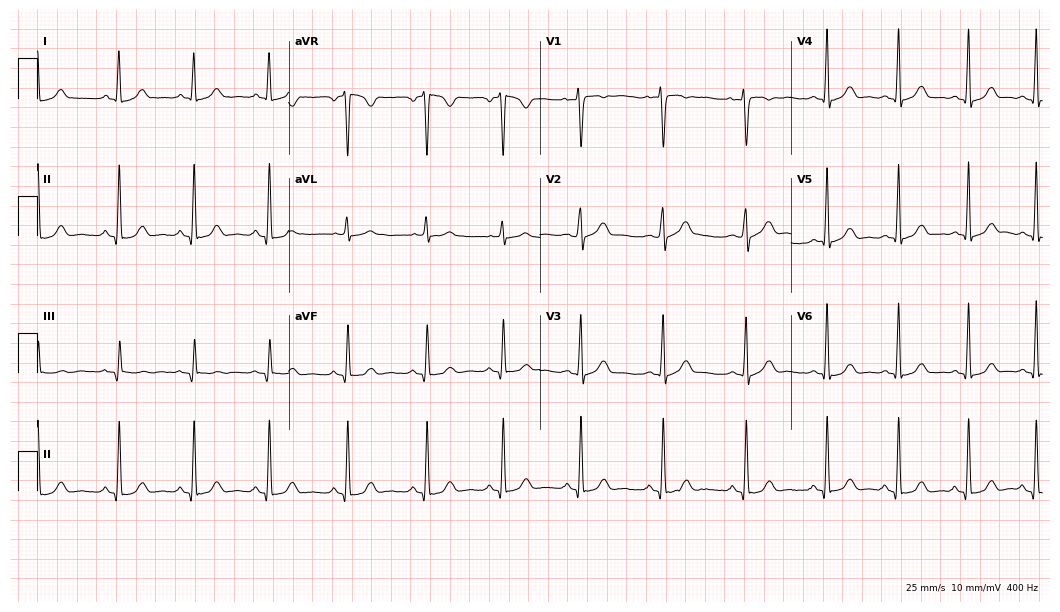
12-lead ECG from a 40-year-old woman. Recorded interpretation: within normal limits.